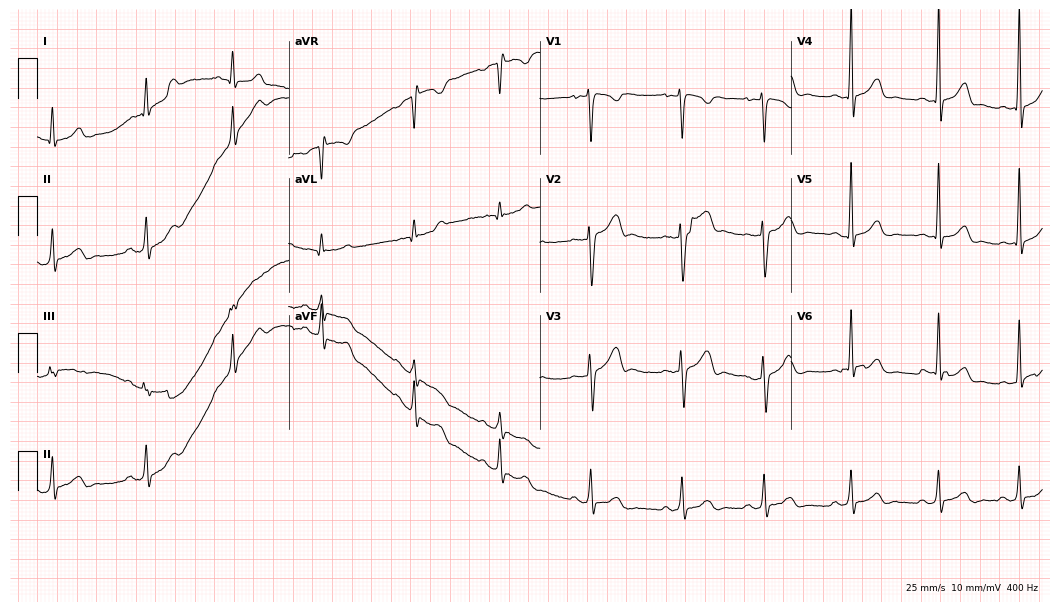
12-lead ECG (10.2-second recording at 400 Hz) from a male, 25 years old. Labelled as a normal ECG.